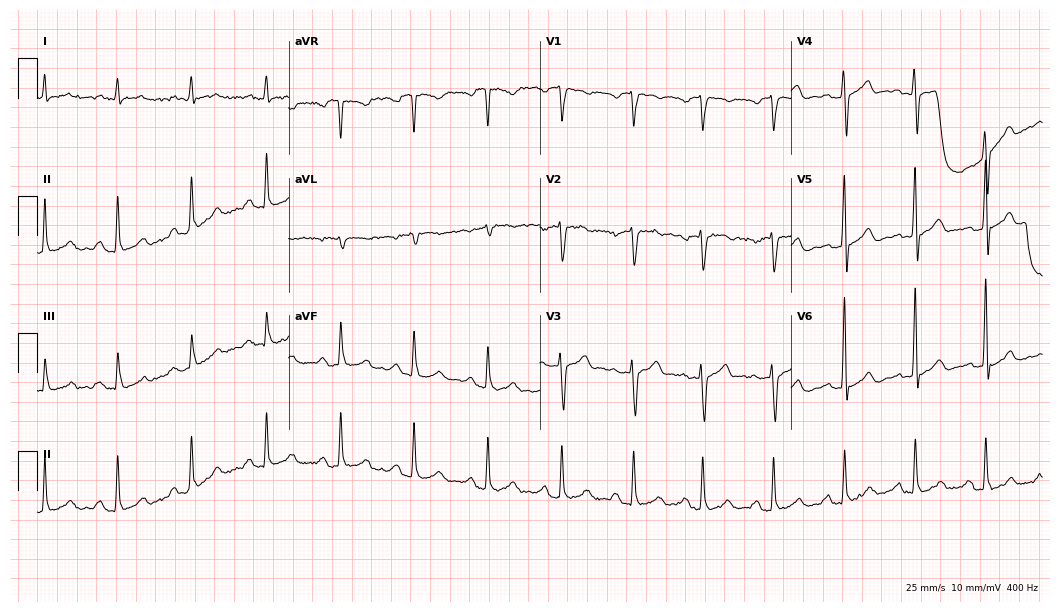
12-lead ECG from a 70-year-old male patient. No first-degree AV block, right bundle branch block (RBBB), left bundle branch block (LBBB), sinus bradycardia, atrial fibrillation (AF) or sinus tachycardia recorded for this tracing. Only these six findings were labelled.